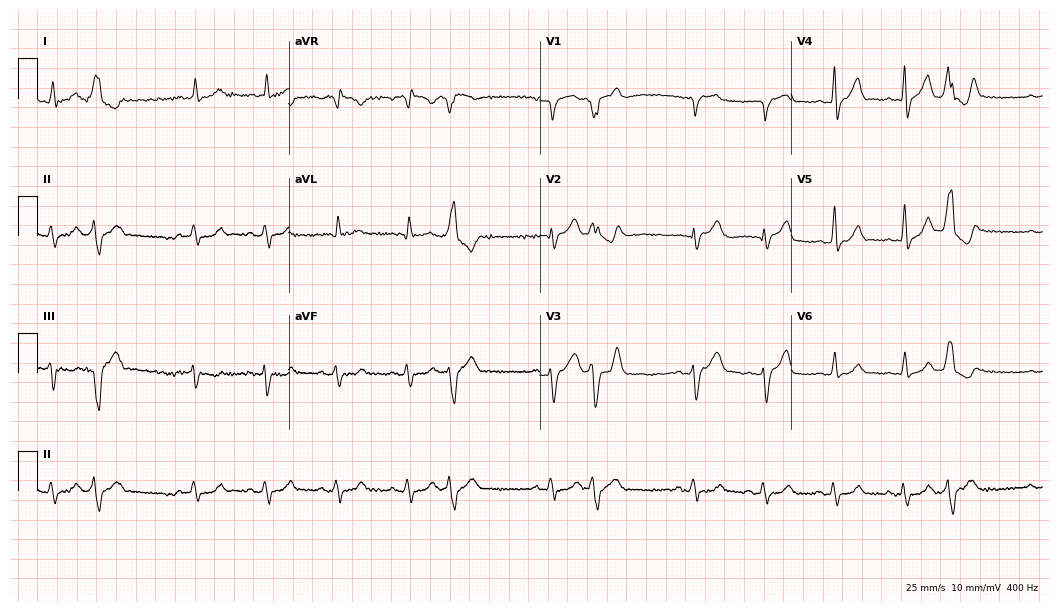
ECG (10.2-second recording at 400 Hz) — a man, 61 years old. Screened for six findings — first-degree AV block, right bundle branch block, left bundle branch block, sinus bradycardia, atrial fibrillation, sinus tachycardia — none is recorded.